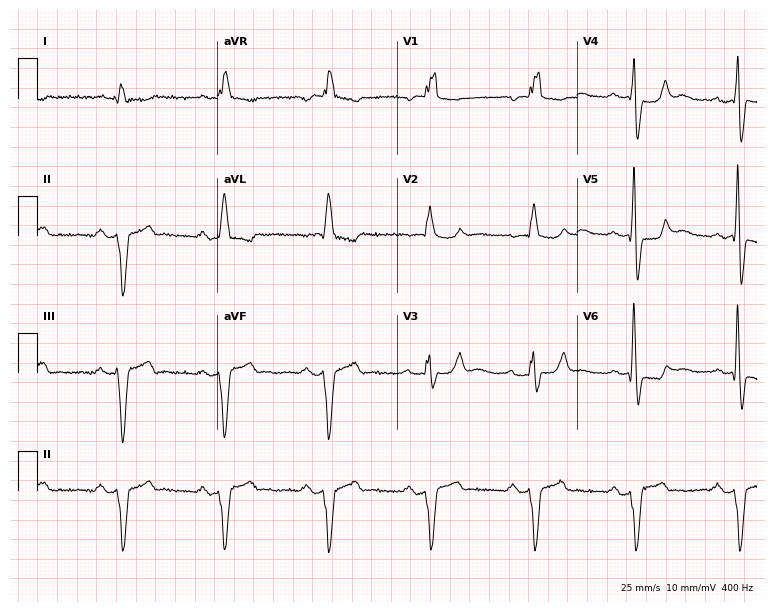
Electrocardiogram (7.3-second recording at 400 Hz), an 82-year-old male patient. Interpretation includes right bundle branch block (RBBB).